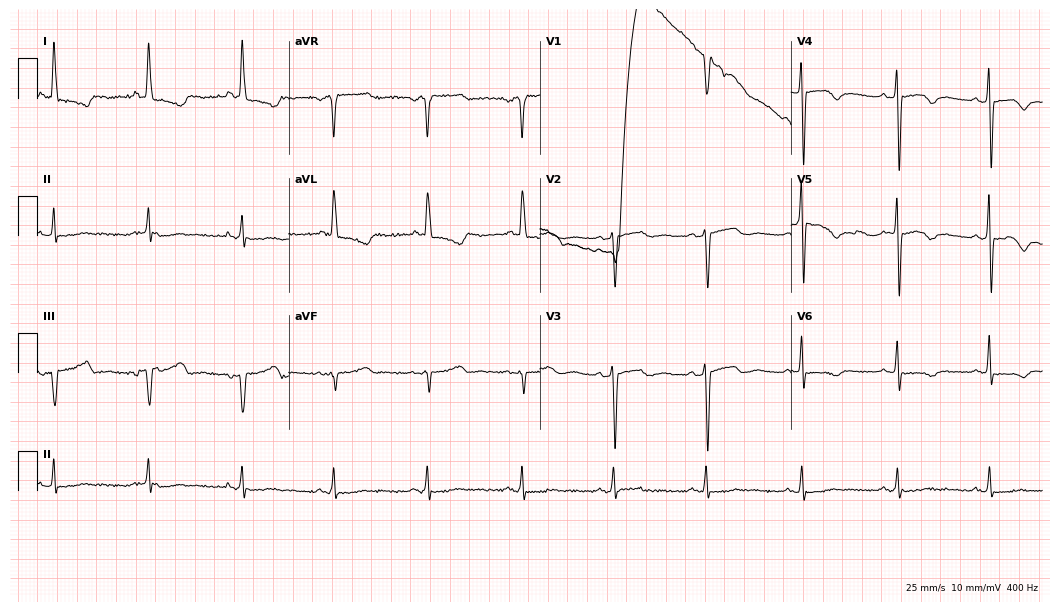
ECG (10.2-second recording at 400 Hz) — a 54-year-old female patient. Screened for six findings — first-degree AV block, right bundle branch block, left bundle branch block, sinus bradycardia, atrial fibrillation, sinus tachycardia — none is recorded. Only these six findings were labelled.